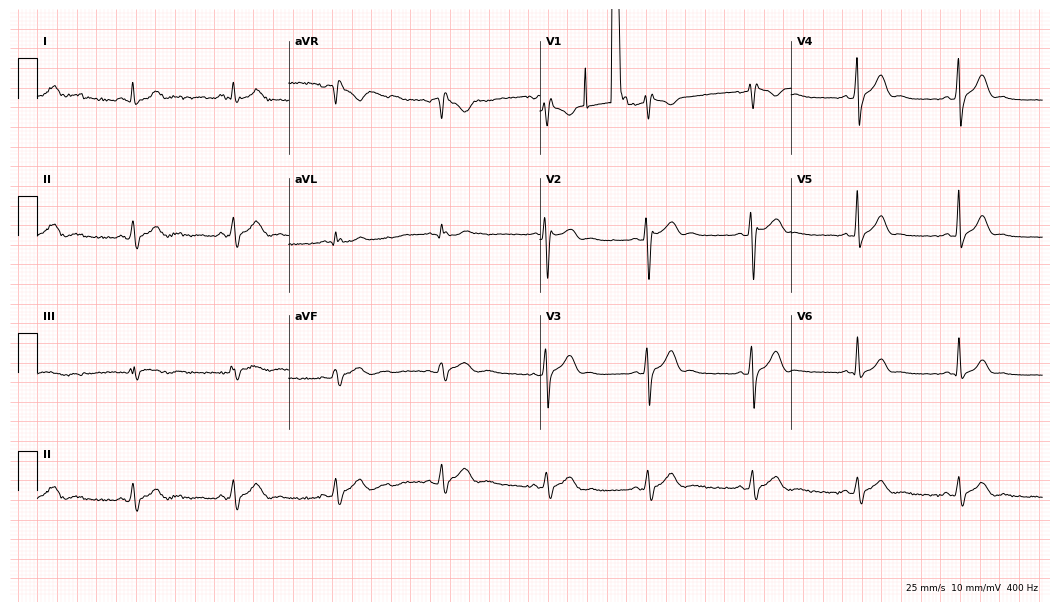
12-lead ECG from a male patient, 30 years old (10.2-second recording at 400 Hz). No first-degree AV block, right bundle branch block (RBBB), left bundle branch block (LBBB), sinus bradycardia, atrial fibrillation (AF) or sinus tachycardia recorded for this tracing.